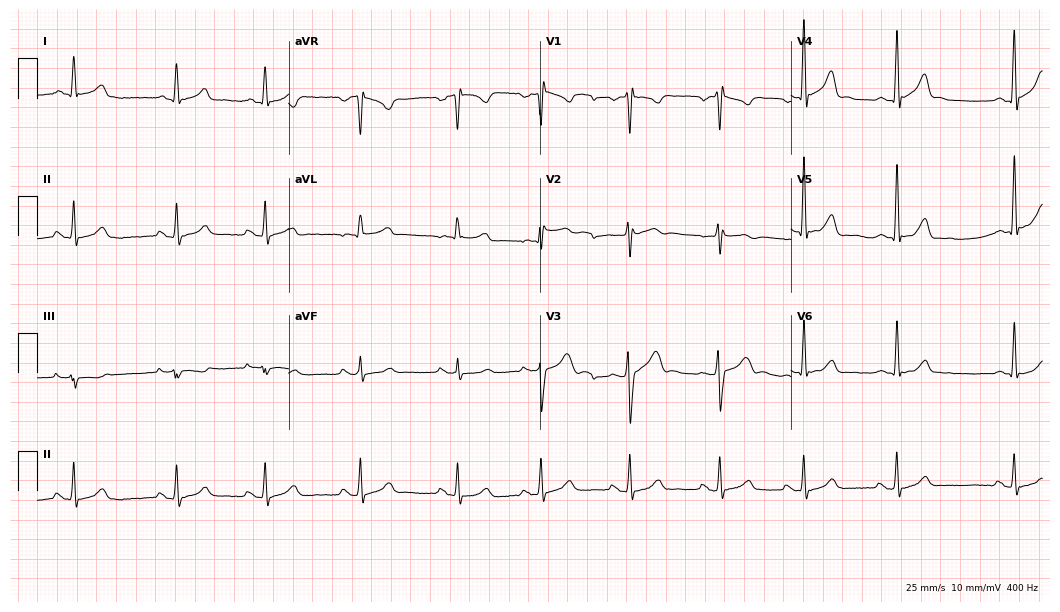
12-lead ECG (10.2-second recording at 400 Hz) from a female patient, 24 years old. Labelled as a normal ECG.